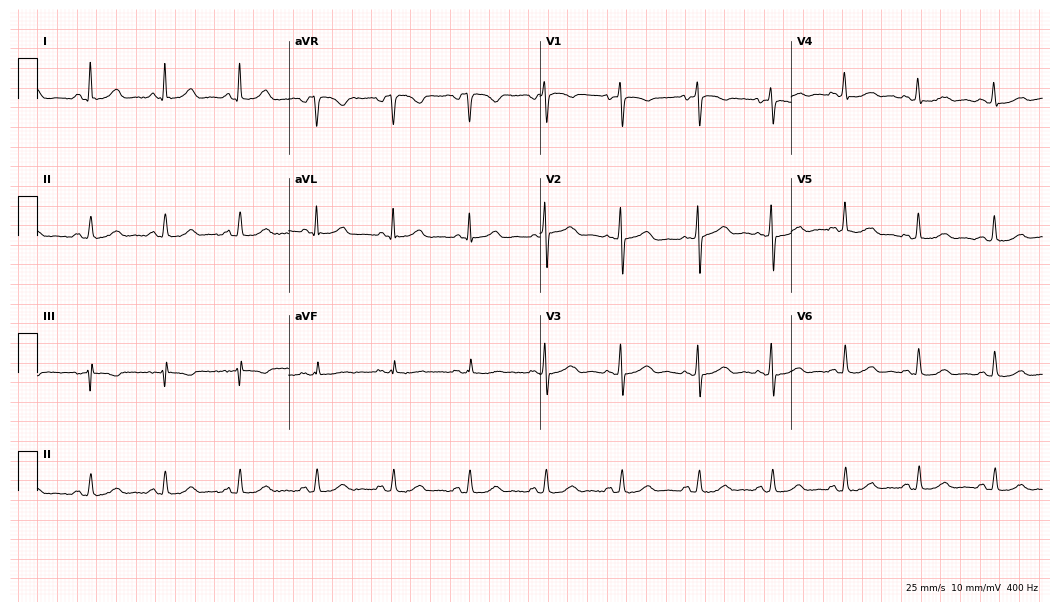
Standard 12-lead ECG recorded from a woman, 52 years old (10.2-second recording at 400 Hz). Read as a normal ECG.